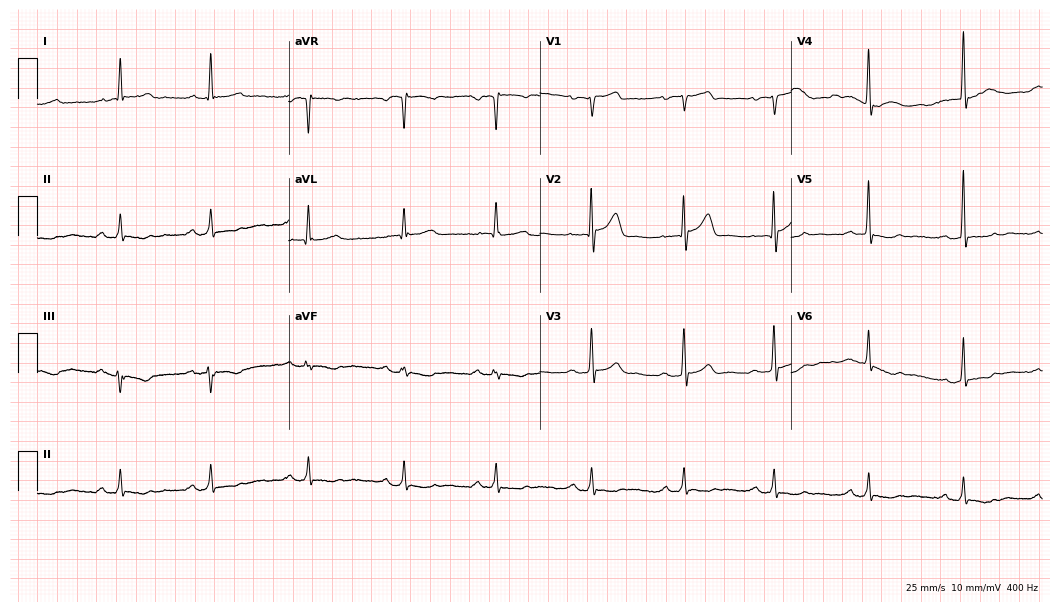
ECG (10.2-second recording at 400 Hz) — a 62-year-old male. Screened for six findings — first-degree AV block, right bundle branch block (RBBB), left bundle branch block (LBBB), sinus bradycardia, atrial fibrillation (AF), sinus tachycardia — none is recorded.